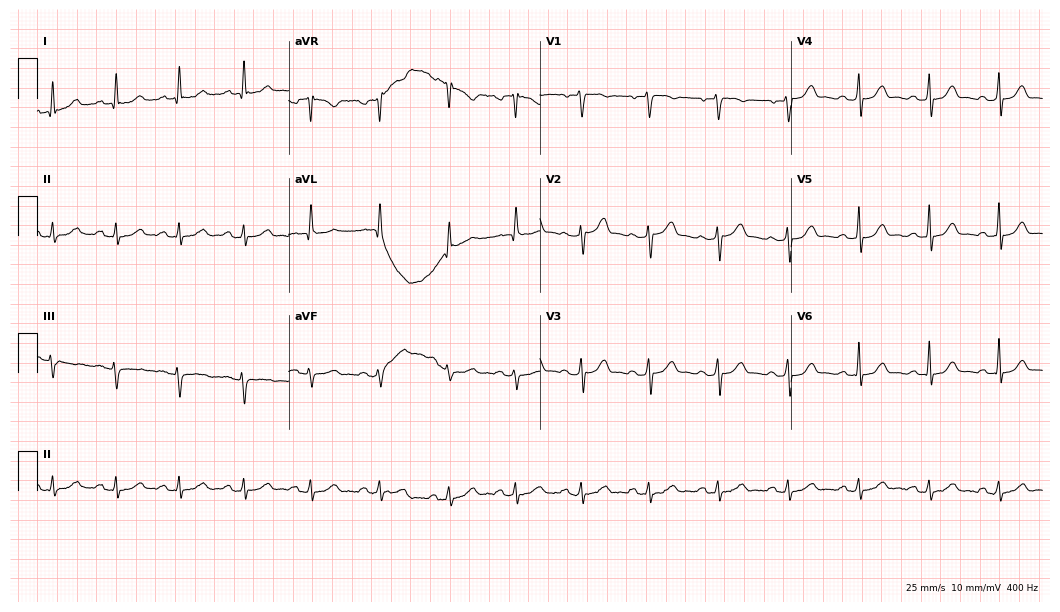
ECG (10.2-second recording at 400 Hz) — a 64-year-old man. Labelled as a normal ECG.